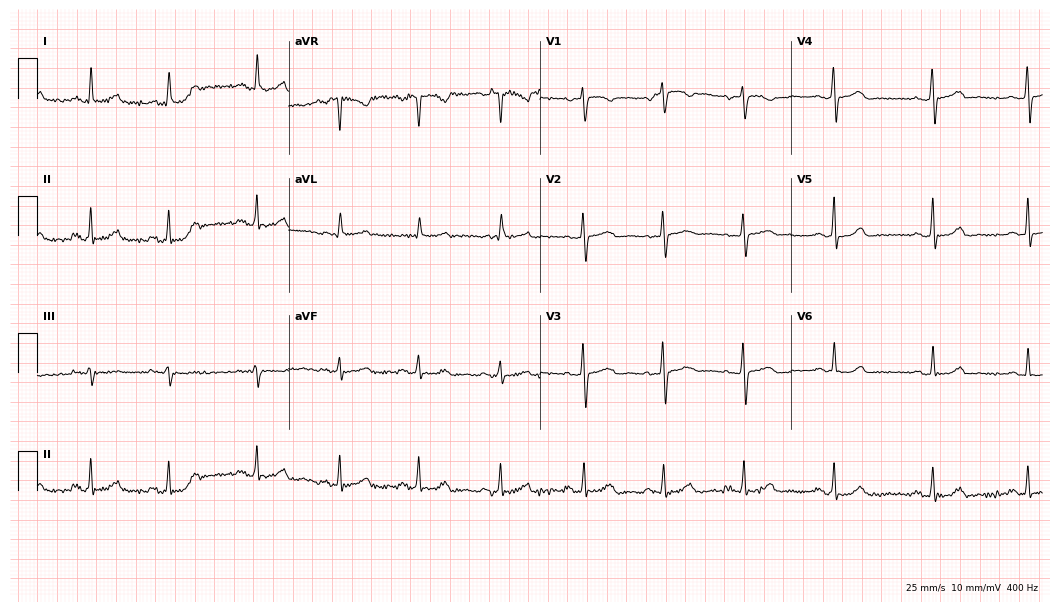
12-lead ECG from a 45-year-old female (10.2-second recording at 400 Hz). Recorded interpretation: within normal limits.